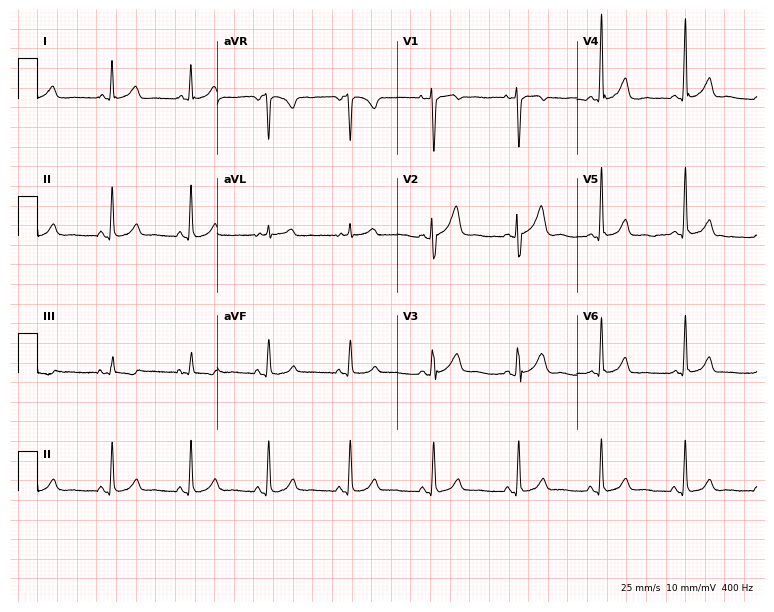
Electrocardiogram, a 36-year-old female patient. Overall reading on record: normal ECG.